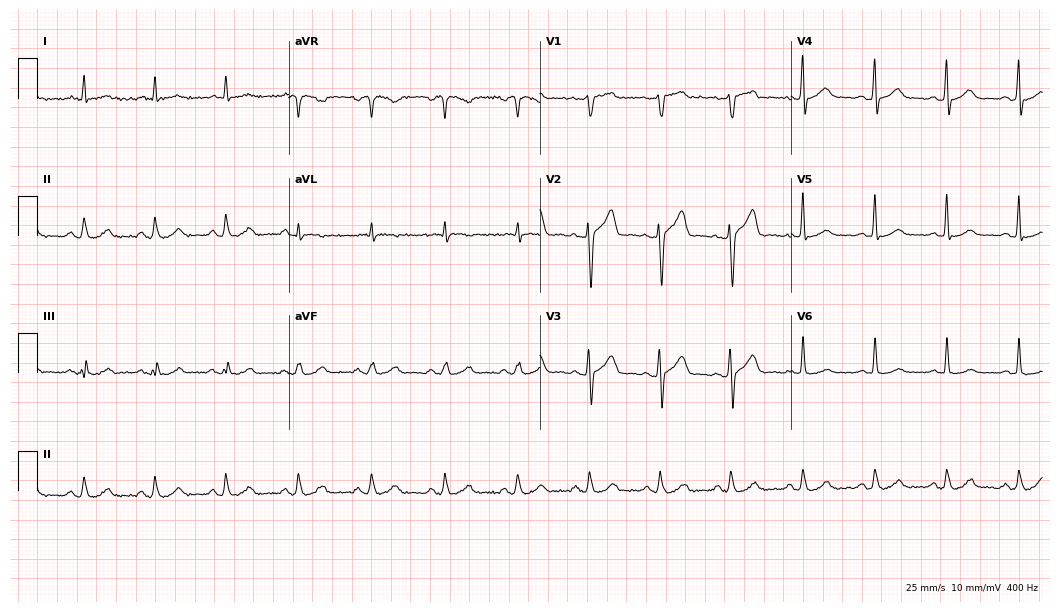
Resting 12-lead electrocardiogram (10.2-second recording at 400 Hz). Patient: a male, 51 years old. Read as a normal ECG.